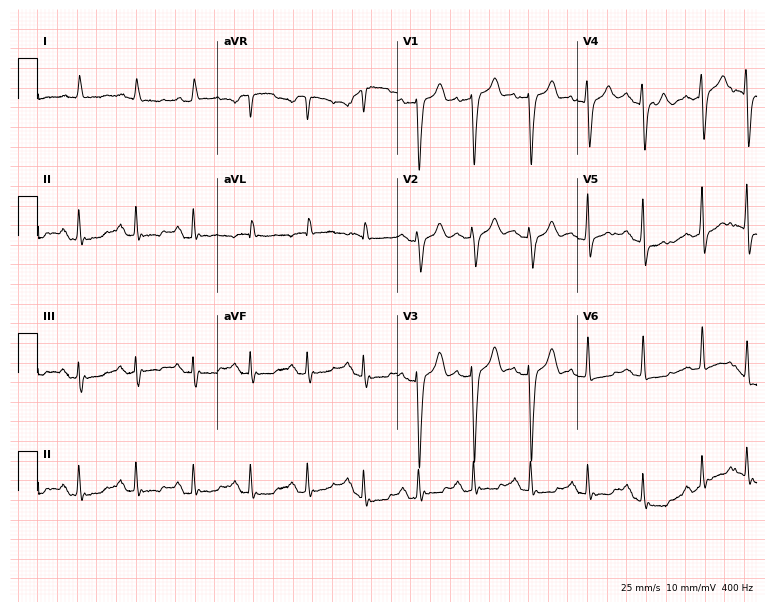
12-lead ECG from an 83-year-old male patient. Findings include sinus tachycardia (a sinus rate of 100 beats per minute or more).